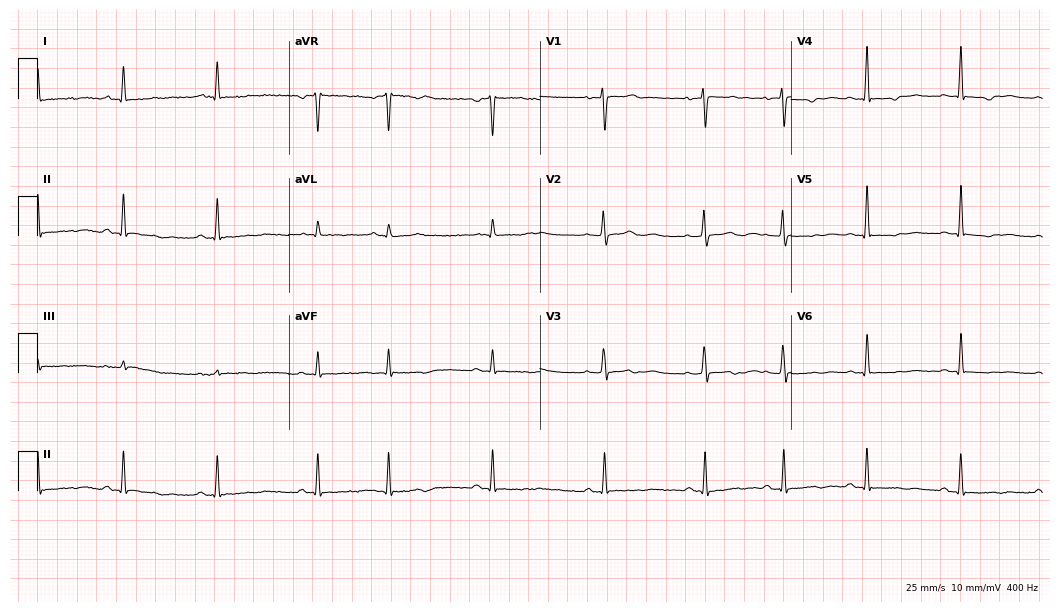
12-lead ECG from a 20-year-old female patient (10.2-second recording at 400 Hz). No first-degree AV block, right bundle branch block (RBBB), left bundle branch block (LBBB), sinus bradycardia, atrial fibrillation (AF) or sinus tachycardia recorded for this tracing.